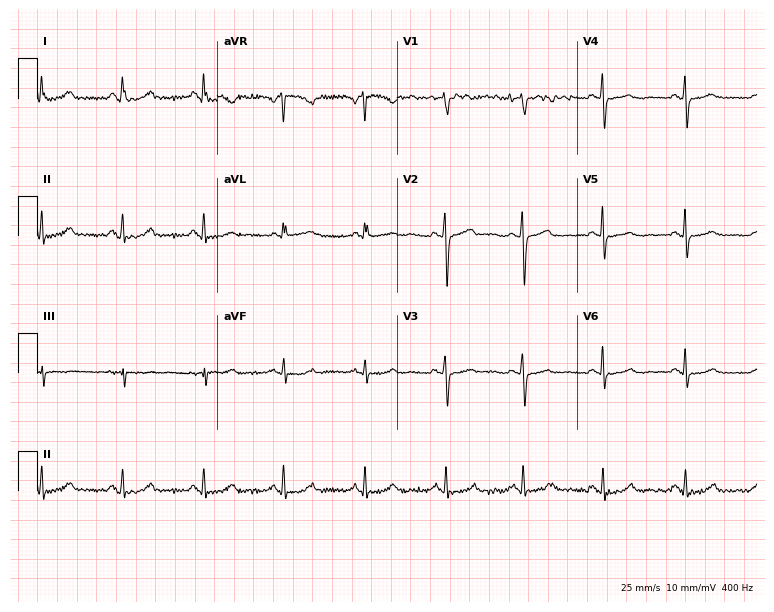
Resting 12-lead electrocardiogram. Patient: a female, 42 years old. Read as a normal ECG.